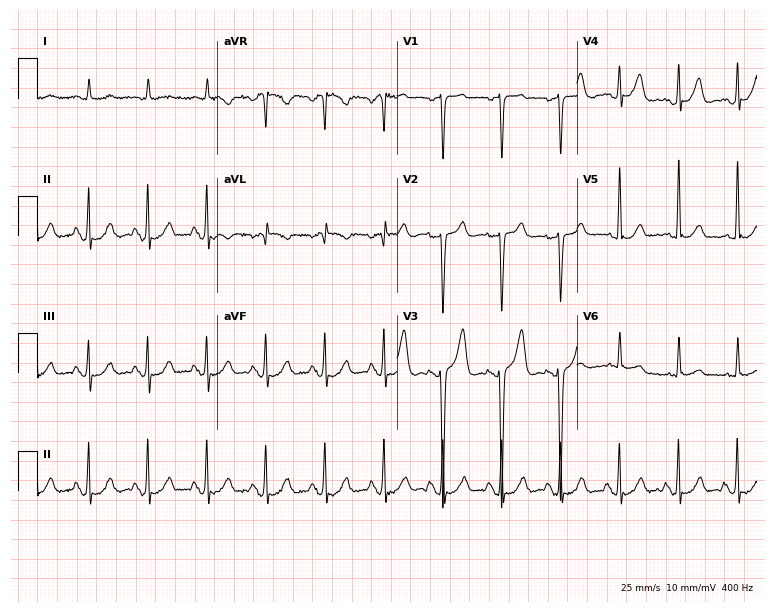
12-lead ECG from a 75-year-old male patient. Recorded interpretation: within normal limits.